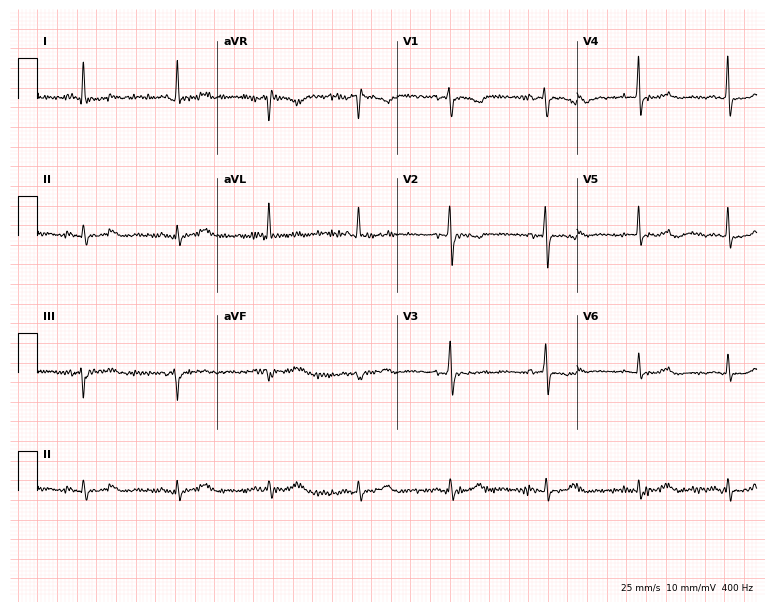
ECG — a 57-year-old female. Screened for six findings — first-degree AV block, right bundle branch block, left bundle branch block, sinus bradycardia, atrial fibrillation, sinus tachycardia — none is recorded.